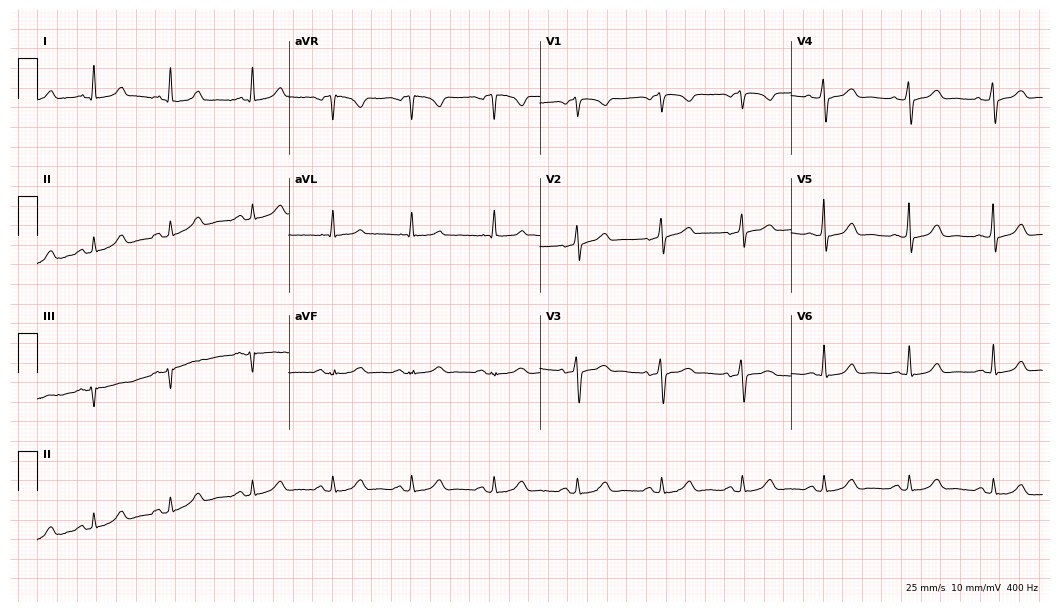
12-lead ECG from a woman, 54 years old. Labelled as a normal ECG.